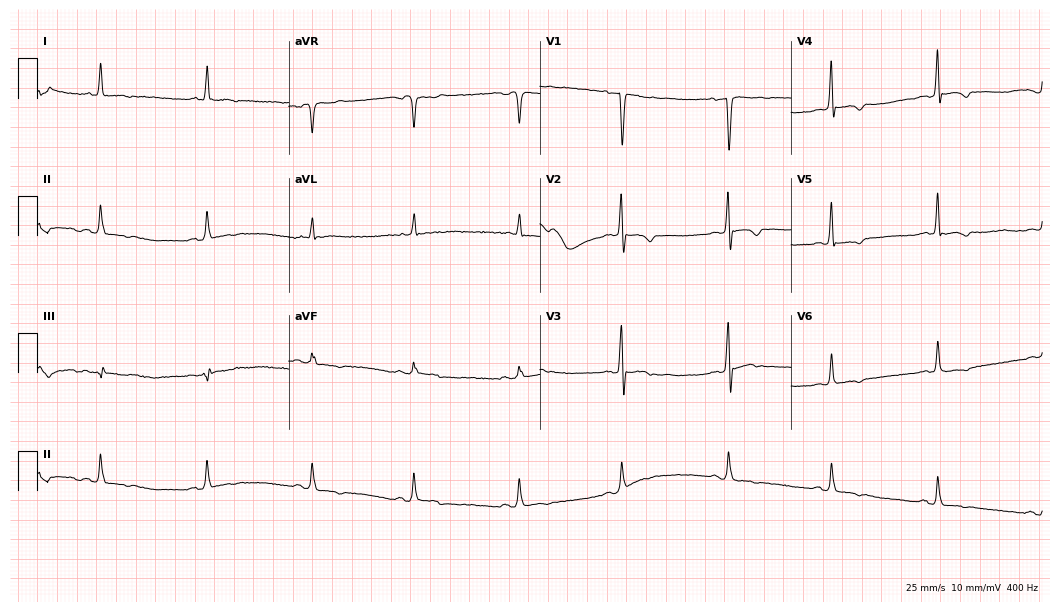
Resting 12-lead electrocardiogram. Patient: a 62-year-old male. None of these six findings is recorded: first-degree AV block, right bundle branch block (RBBB), left bundle branch block (LBBB), sinus bradycardia, atrial fibrillation (AF), sinus tachycardia. Other findings, if any, are not listed.